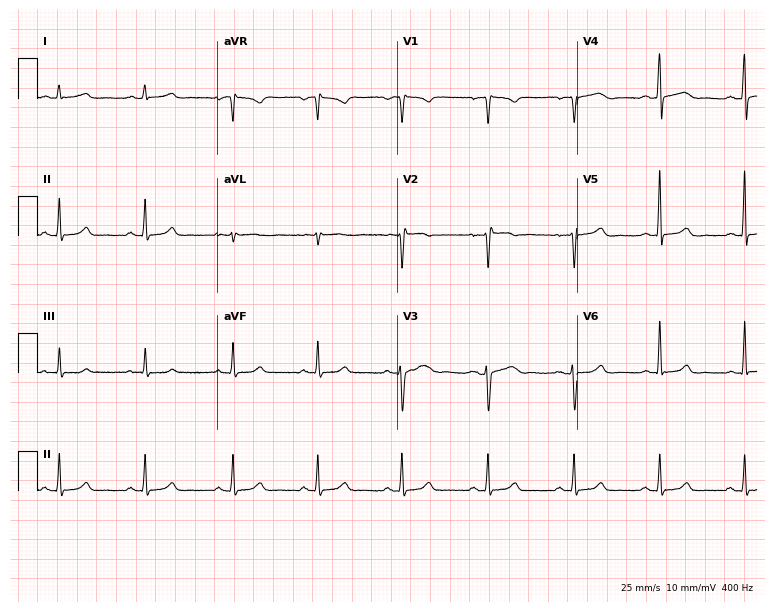
Electrocardiogram, a female patient, 39 years old. Overall reading on record: normal ECG.